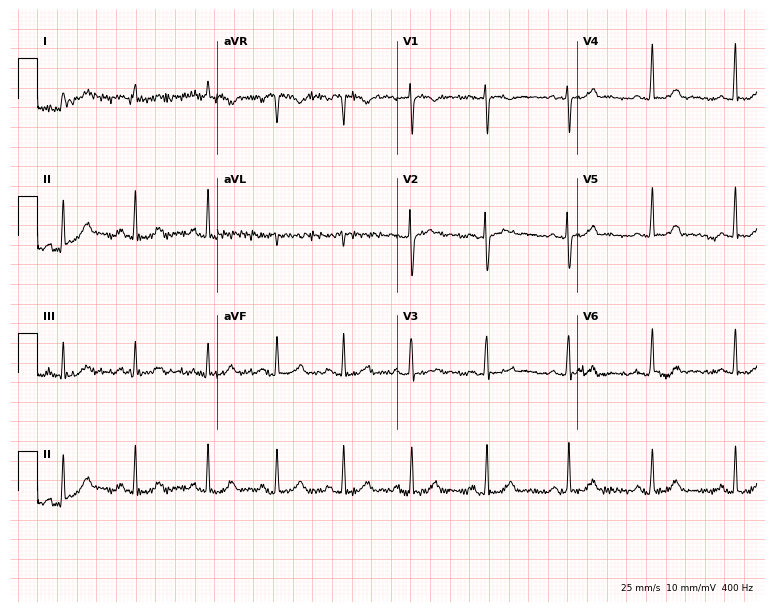
Resting 12-lead electrocardiogram (7.3-second recording at 400 Hz). Patient: a female, 24 years old. Read as a normal ECG.